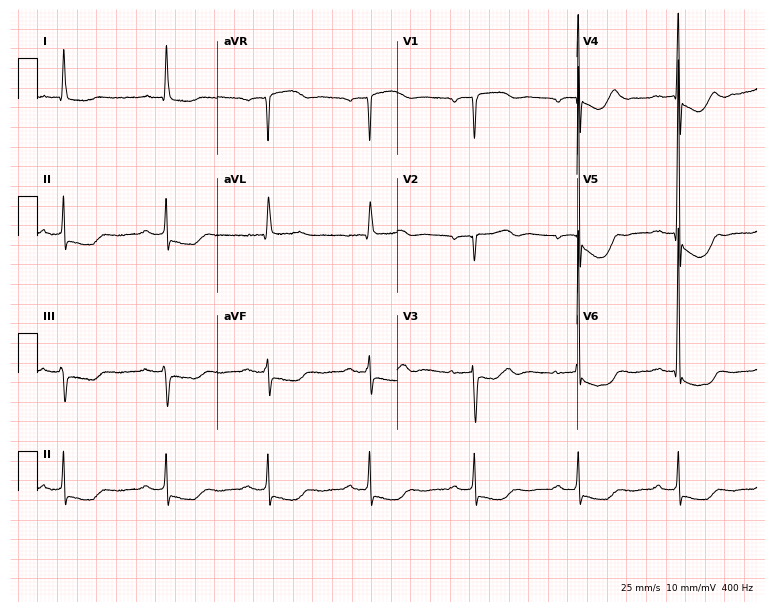
Electrocardiogram, a 72-year-old woman. Of the six screened findings (first-degree AV block, right bundle branch block, left bundle branch block, sinus bradycardia, atrial fibrillation, sinus tachycardia), none is recorded.